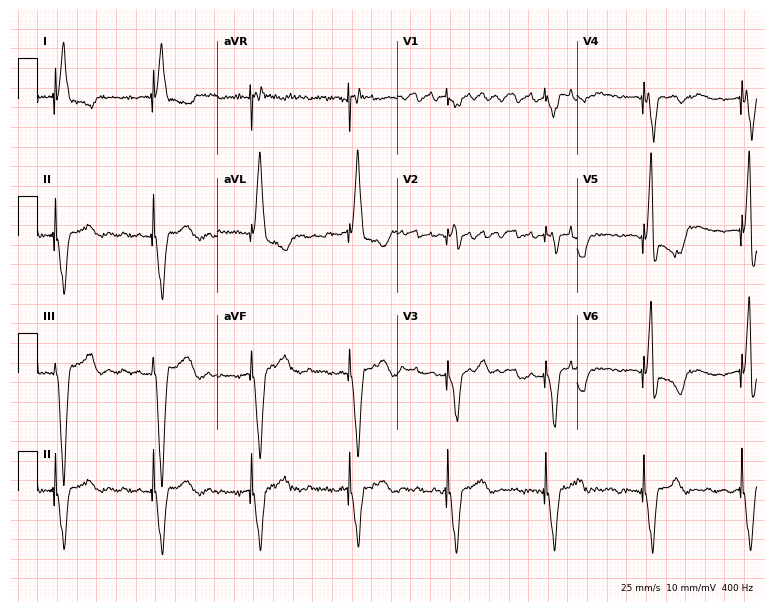
Electrocardiogram (7.3-second recording at 400 Hz), a 75-year-old female patient. Of the six screened findings (first-degree AV block, right bundle branch block, left bundle branch block, sinus bradycardia, atrial fibrillation, sinus tachycardia), none is recorded. Findings outside these six are not listed.